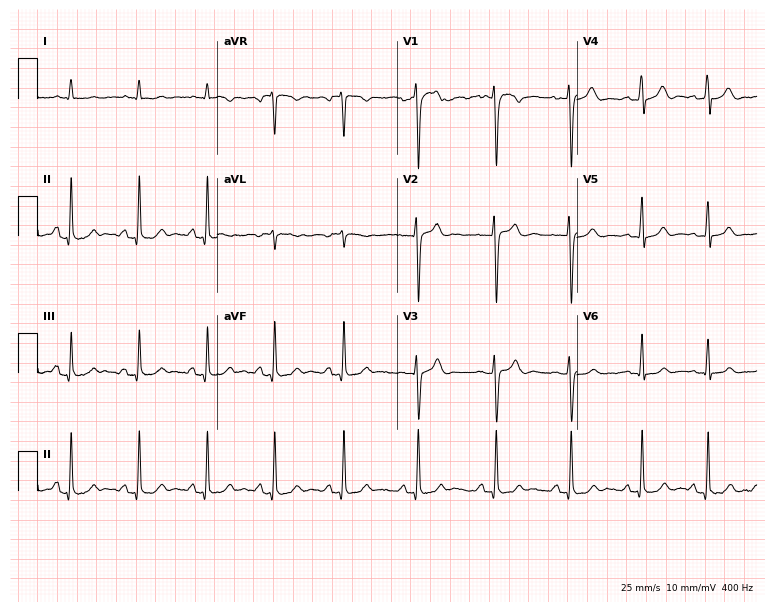
Electrocardiogram, a man, 43 years old. Of the six screened findings (first-degree AV block, right bundle branch block, left bundle branch block, sinus bradycardia, atrial fibrillation, sinus tachycardia), none is recorded.